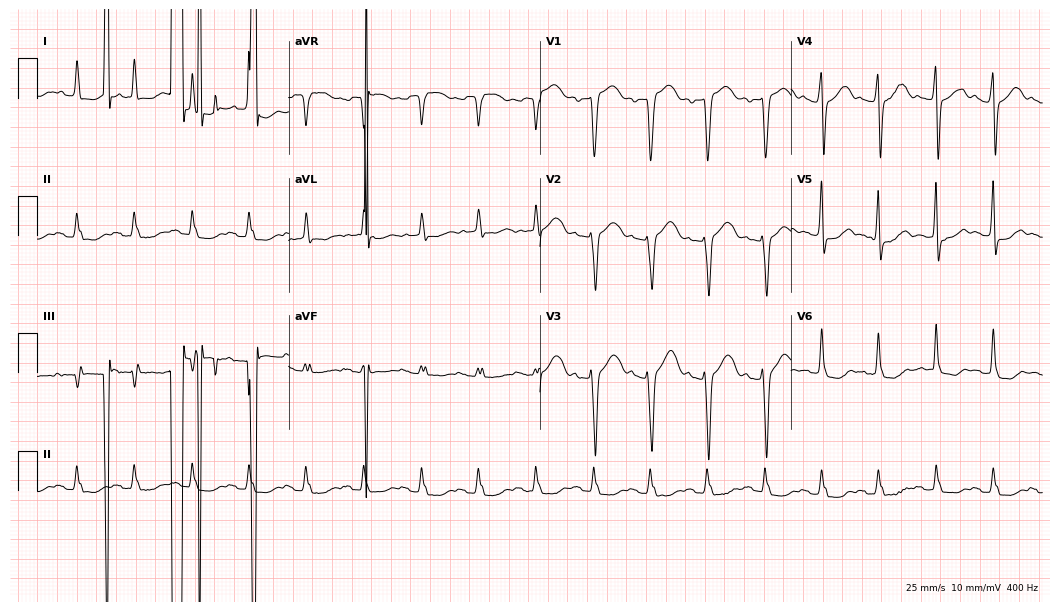
Standard 12-lead ECG recorded from a 65-year-old male patient. None of these six findings is recorded: first-degree AV block, right bundle branch block, left bundle branch block, sinus bradycardia, atrial fibrillation, sinus tachycardia.